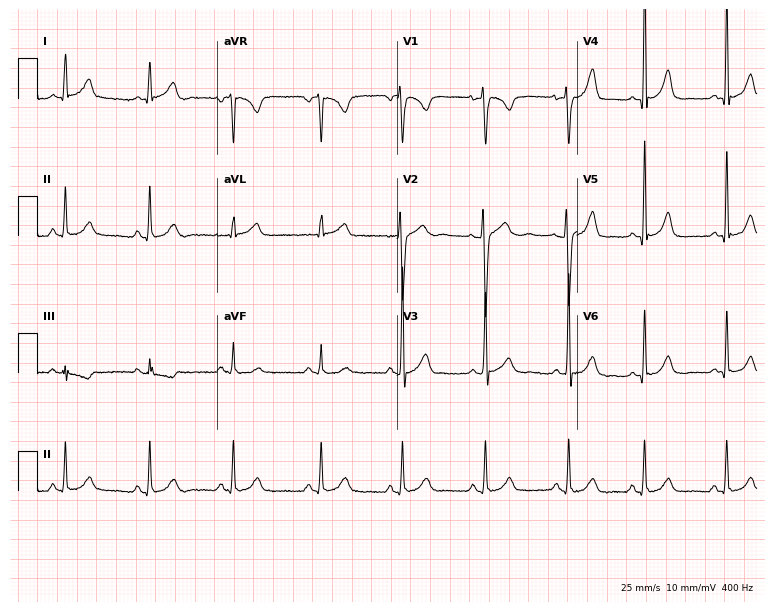
12-lead ECG from a female patient, 31 years old. Labelled as a normal ECG.